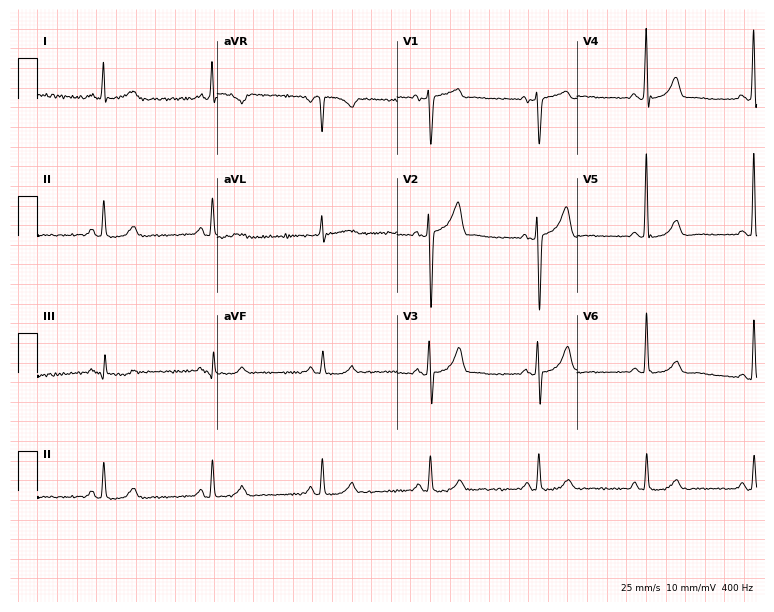
12-lead ECG from a male, 57 years old (7.3-second recording at 400 Hz). No first-degree AV block, right bundle branch block, left bundle branch block, sinus bradycardia, atrial fibrillation or sinus tachycardia recorded for this tracing.